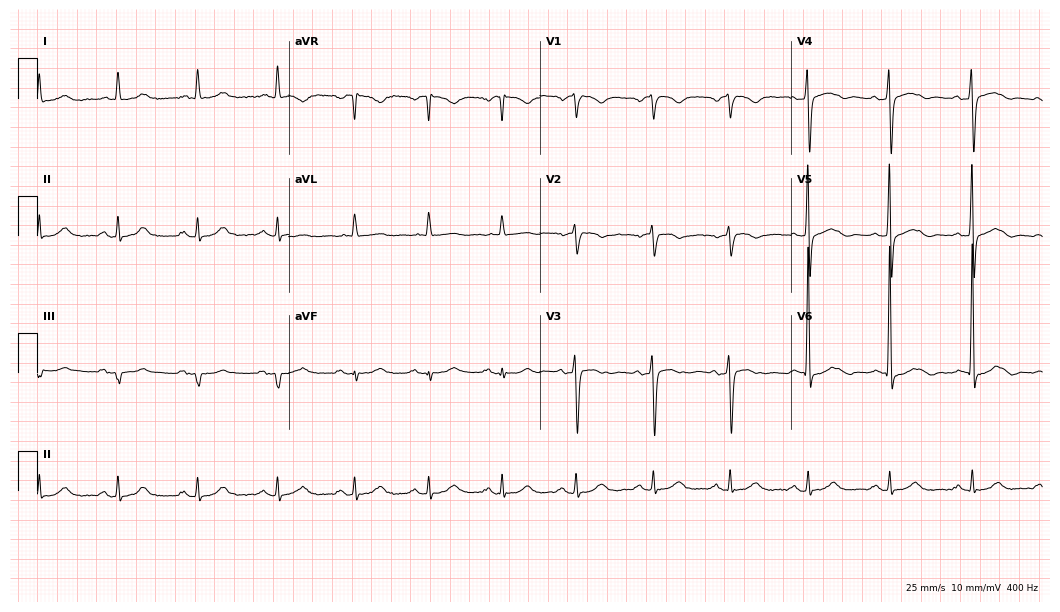
12-lead ECG from a 76-year-old male. No first-degree AV block, right bundle branch block, left bundle branch block, sinus bradycardia, atrial fibrillation or sinus tachycardia recorded for this tracing. Findings outside these six are not listed.